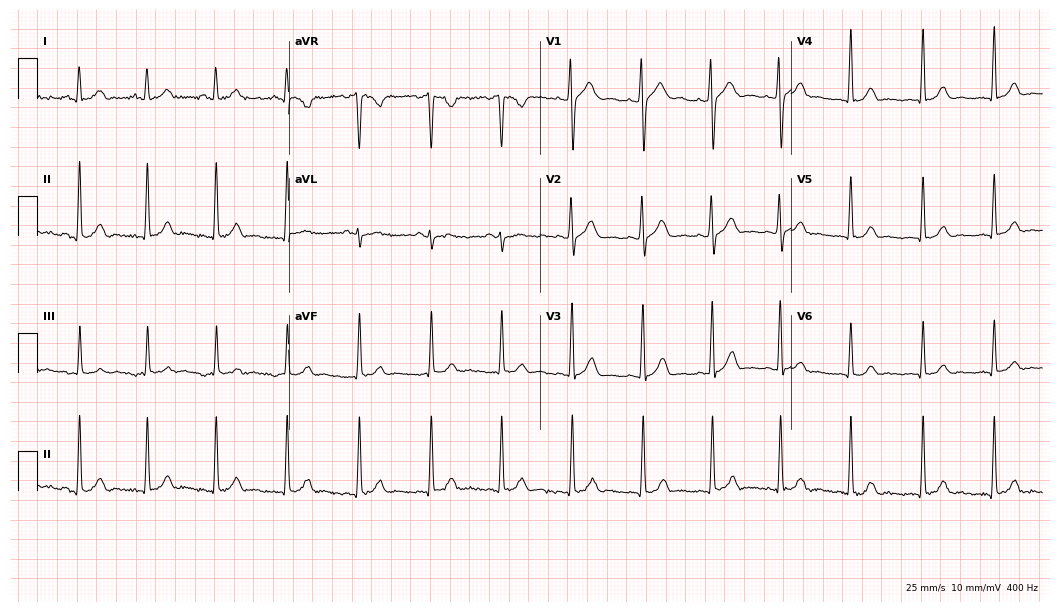
Electrocardiogram, a 29-year-old woman. Overall reading on record: normal ECG.